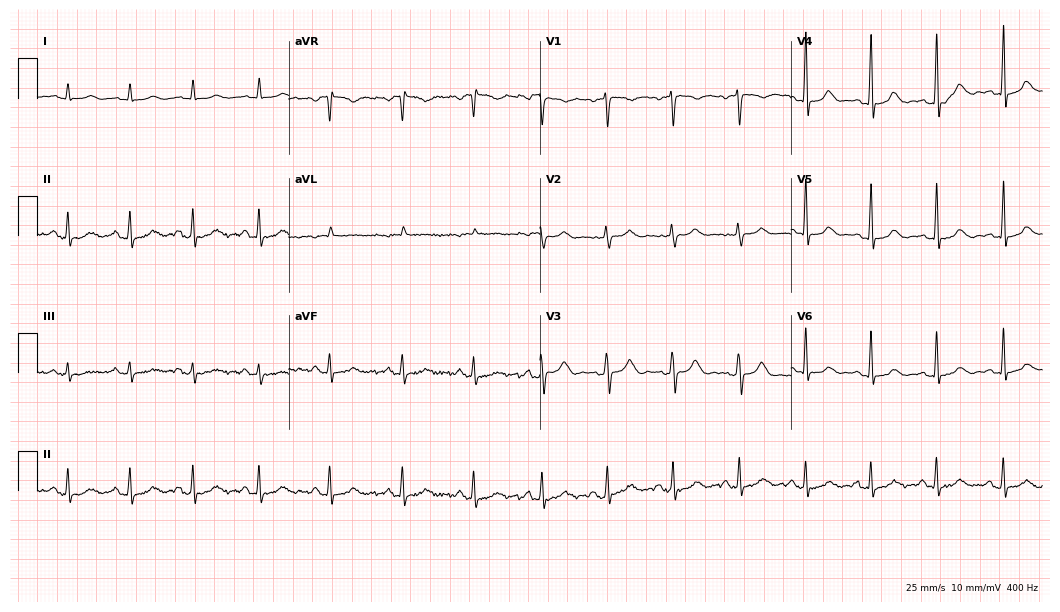
ECG — a female patient, 36 years old. Labelled as a normal ECG.